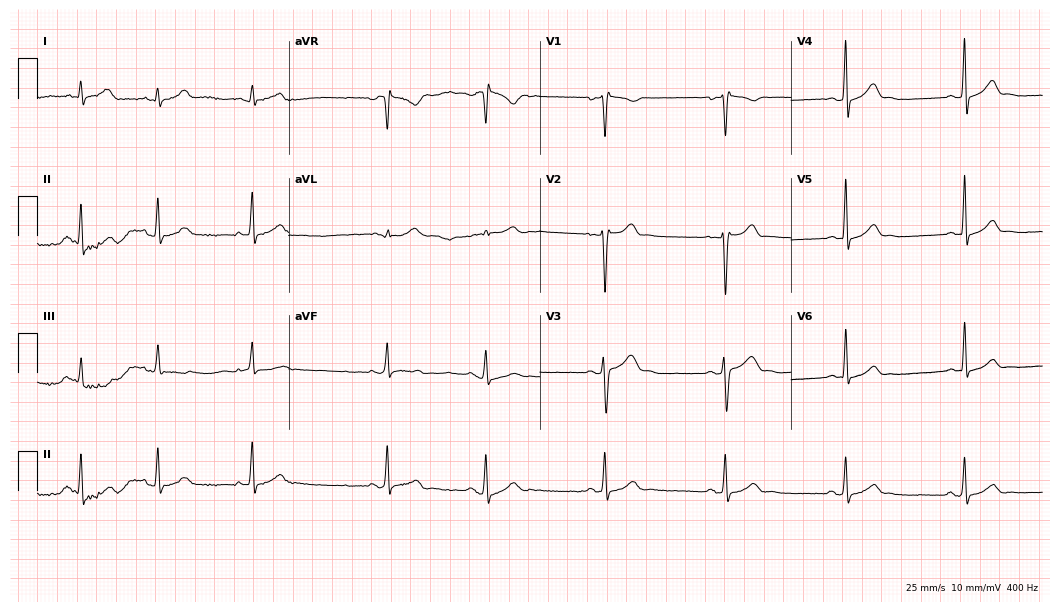
Standard 12-lead ECG recorded from a male, 21 years old (10.2-second recording at 400 Hz). None of these six findings is recorded: first-degree AV block, right bundle branch block (RBBB), left bundle branch block (LBBB), sinus bradycardia, atrial fibrillation (AF), sinus tachycardia. Findings outside these six are not listed.